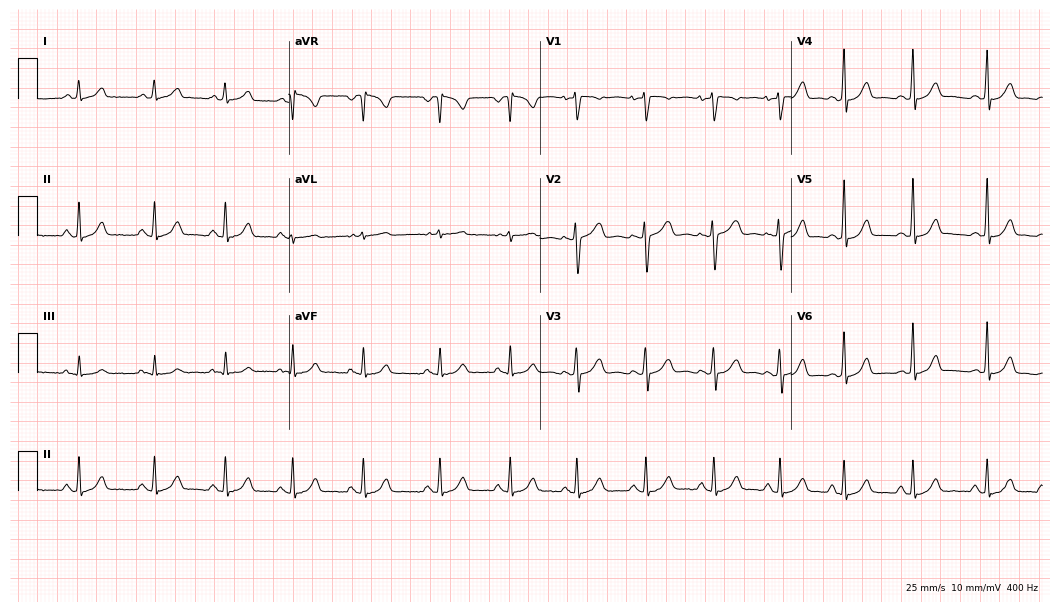
ECG (10.2-second recording at 400 Hz) — a female, 22 years old. Labelled as a normal ECG.